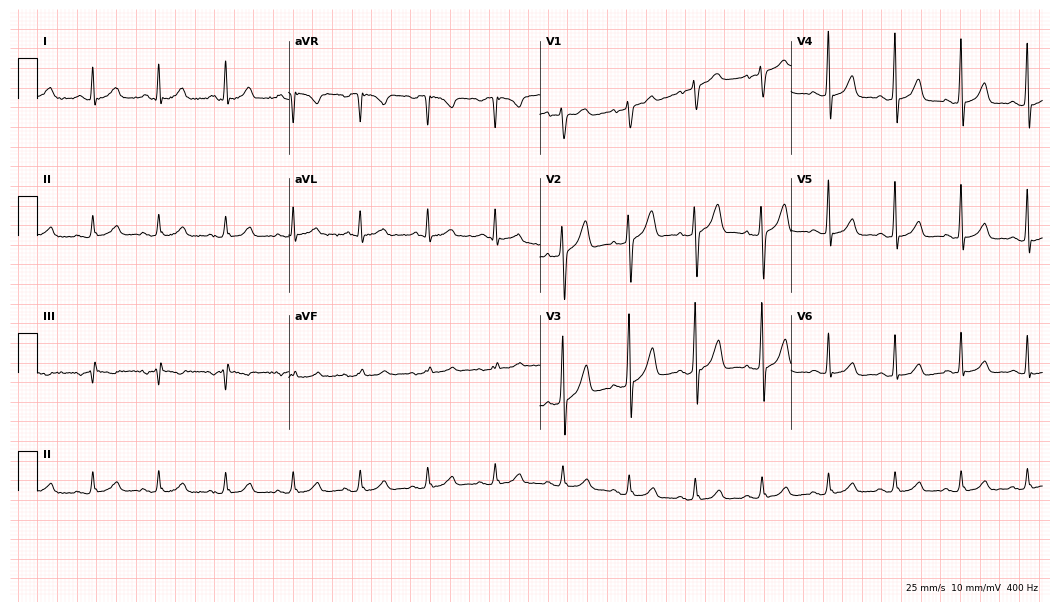
12-lead ECG from a man, 51 years old. Labelled as a normal ECG.